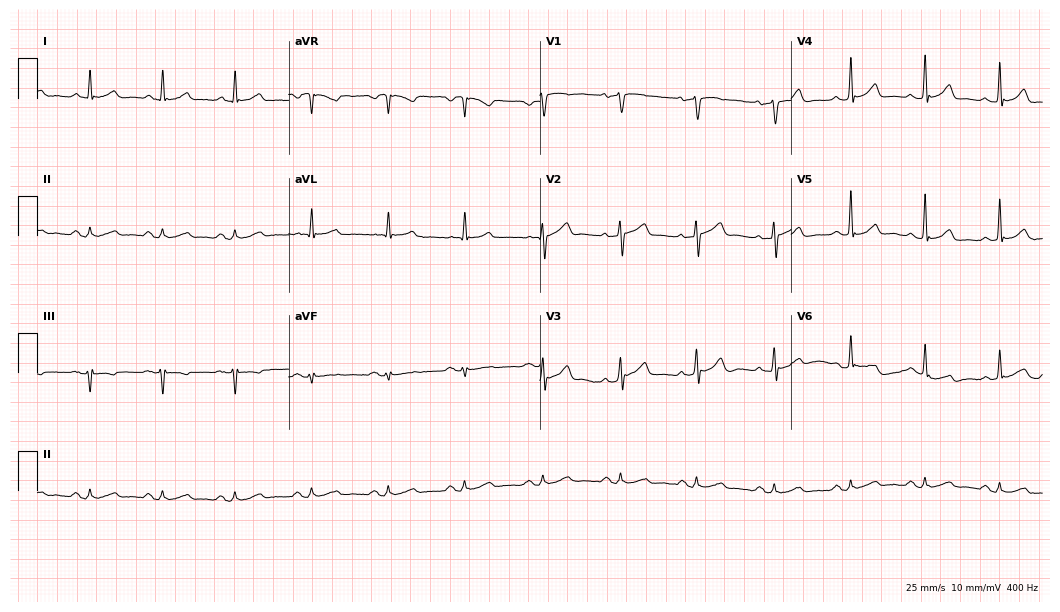
ECG (10.2-second recording at 400 Hz) — a male patient, 65 years old. Labelled as a normal ECG.